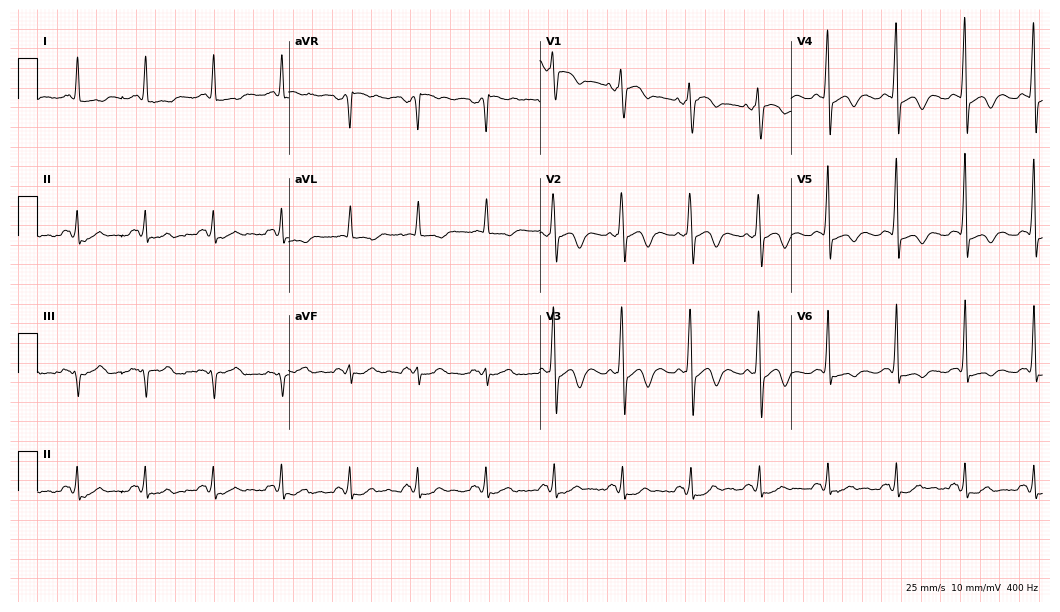
Resting 12-lead electrocardiogram (10.2-second recording at 400 Hz). Patient: an 81-year-old male. None of these six findings is recorded: first-degree AV block, right bundle branch block, left bundle branch block, sinus bradycardia, atrial fibrillation, sinus tachycardia.